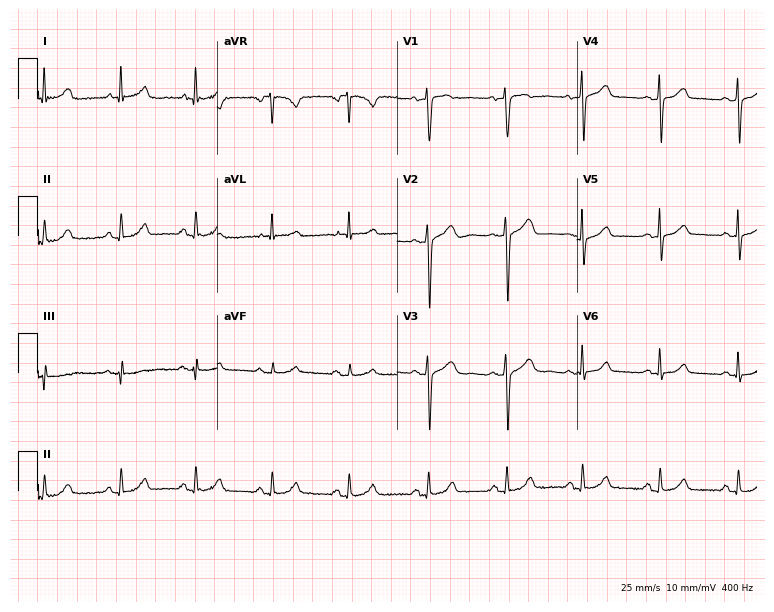
12-lead ECG from a female patient, 50 years old. Labelled as a normal ECG.